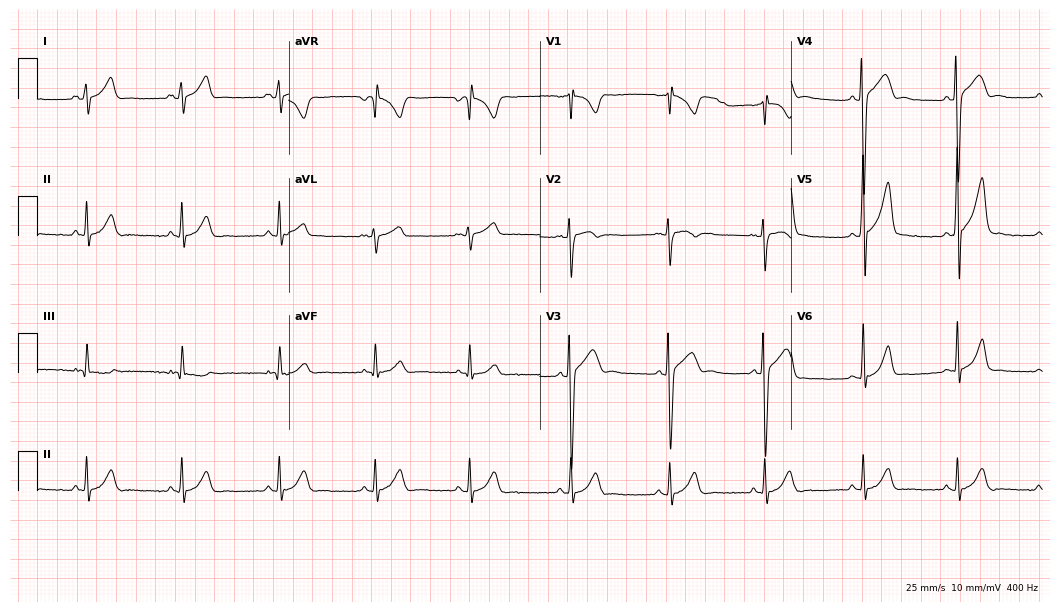
Electrocardiogram, a female patient, 17 years old. Overall reading on record: normal ECG.